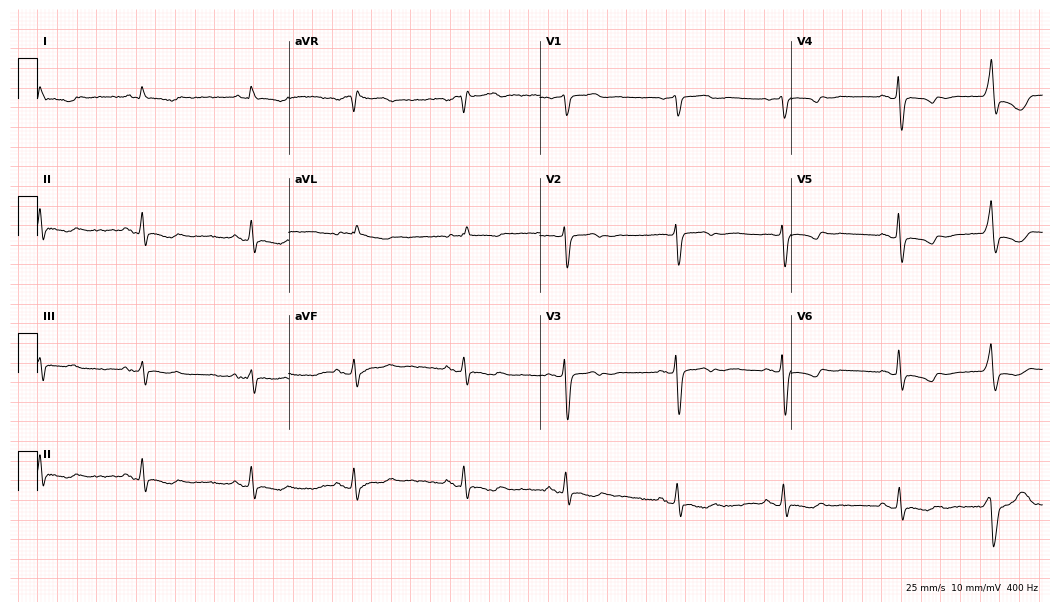
Standard 12-lead ECG recorded from a female, 85 years old (10.2-second recording at 400 Hz). None of these six findings is recorded: first-degree AV block, right bundle branch block (RBBB), left bundle branch block (LBBB), sinus bradycardia, atrial fibrillation (AF), sinus tachycardia. Findings outside these six are not listed.